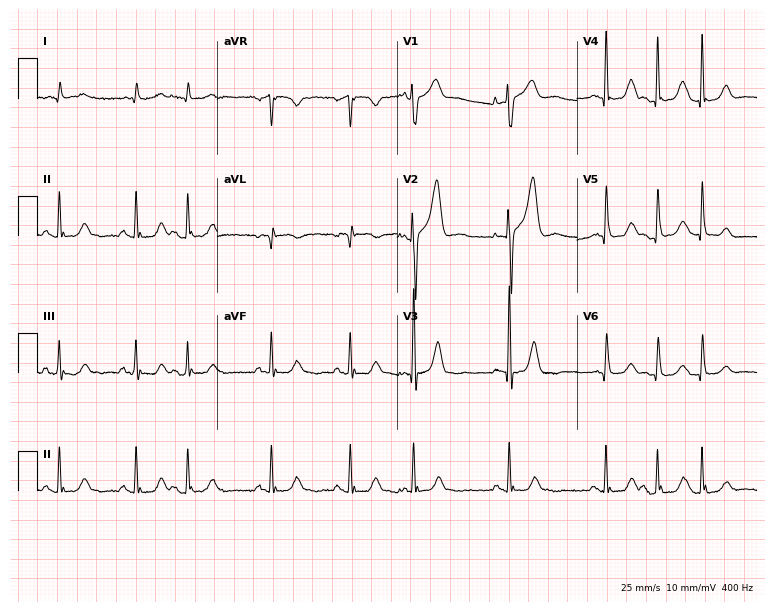
12-lead ECG (7.3-second recording at 400 Hz) from a woman, 84 years old. Screened for six findings — first-degree AV block, right bundle branch block, left bundle branch block, sinus bradycardia, atrial fibrillation, sinus tachycardia — none is recorded. Only these six findings were labelled.